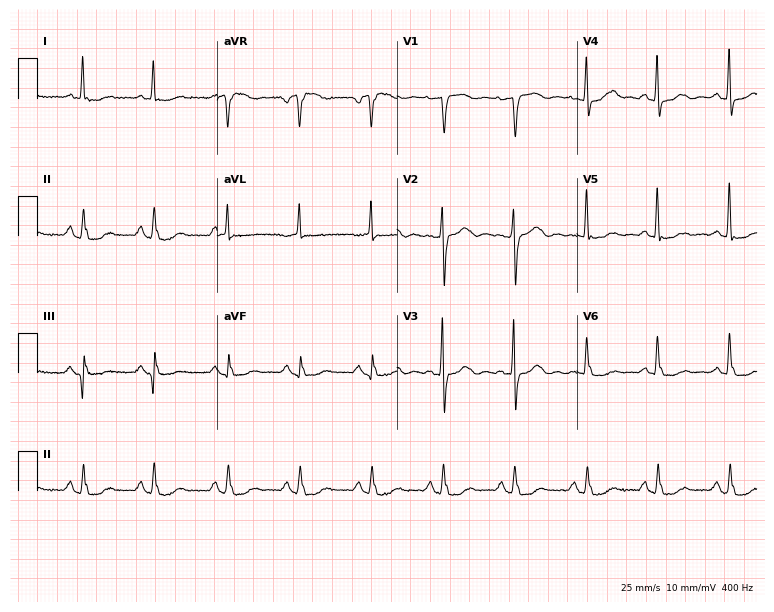
Resting 12-lead electrocardiogram. Patient: an 83-year-old female. None of these six findings is recorded: first-degree AV block, right bundle branch block, left bundle branch block, sinus bradycardia, atrial fibrillation, sinus tachycardia.